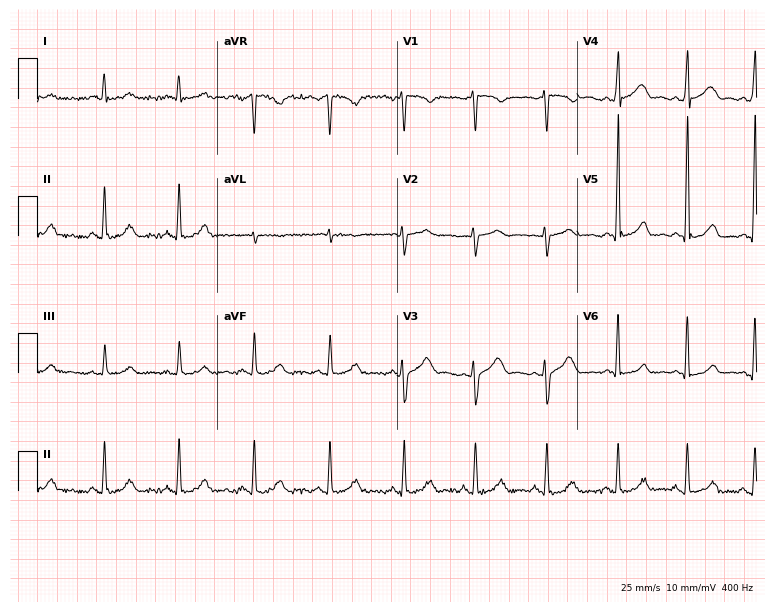
Standard 12-lead ECG recorded from a female, 52 years old. Read as a normal ECG.